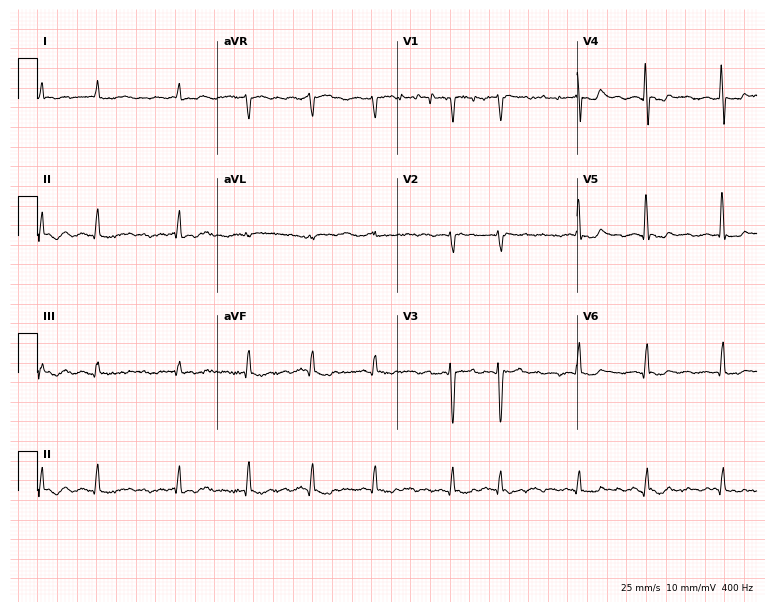
Electrocardiogram (7.3-second recording at 400 Hz), a 65-year-old man. Interpretation includes atrial fibrillation.